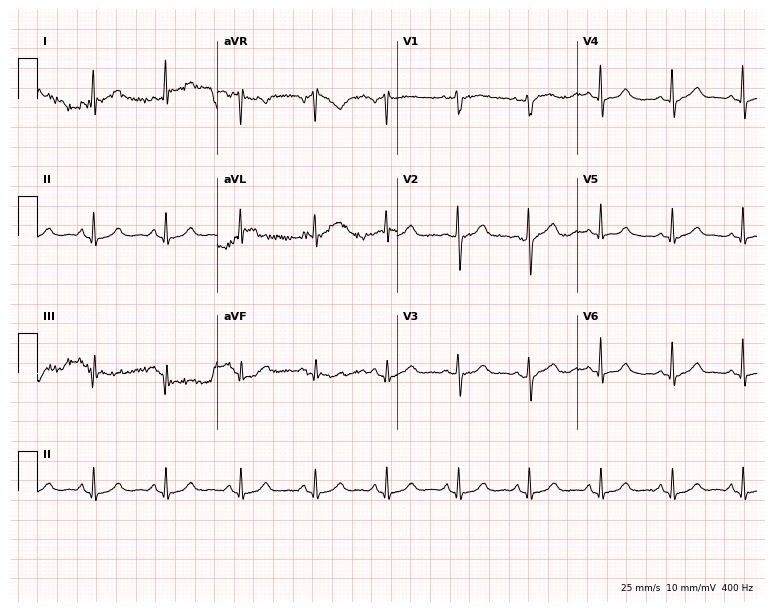
12-lead ECG from a woman, 64 years old. Labelled as a normal ECG.